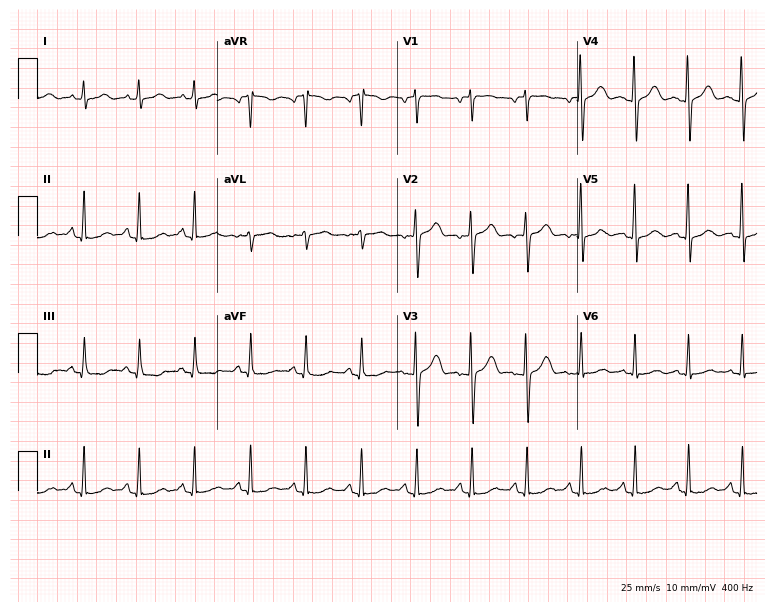
ECG (7.3-second recording at 400 Hz) — a woman, 55 years old. Screened for six findings — first-degree AV block, right bundle branch block, left bundle branch block, sinus bradycardia, atrial fibrillation, sinus tachycardia — none is recorded.